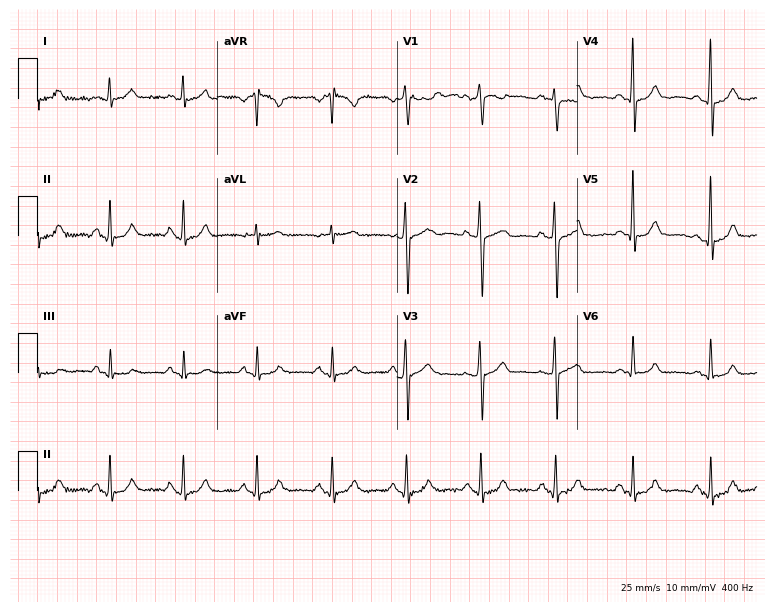
12-lead ECG from a 61-year-old male patient. Recorded interpretation: within normal limits.